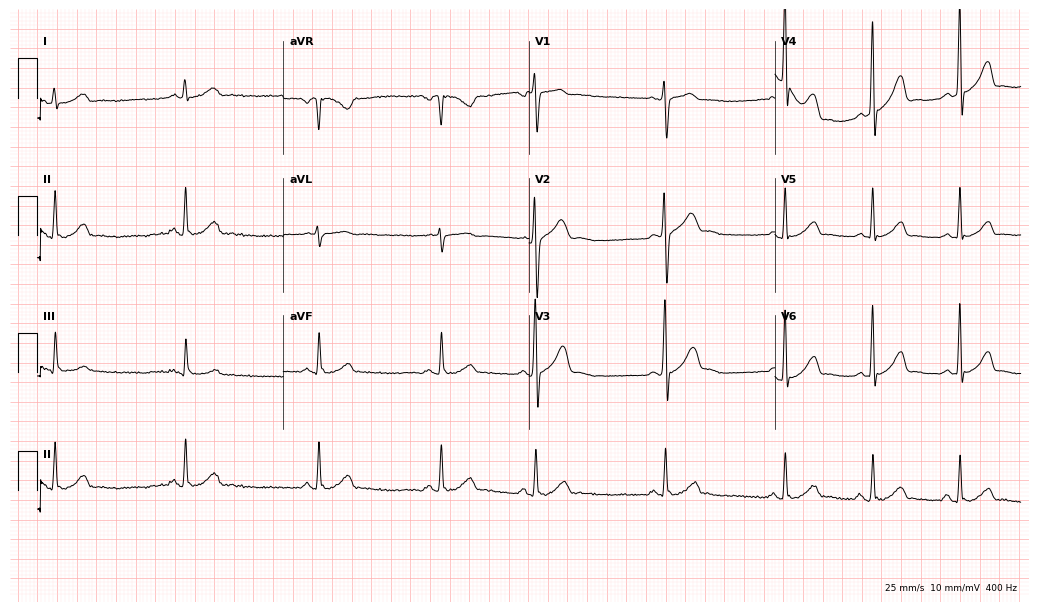
12-lead ECG (10-second recording at 400 Hz) from a 29-year-old male patient. Screened for six findings — first-degree AV block, right bundle branch block, left bundle branch block, sinus bradycardia, atrial fibrillation, sinus tachycardia — none is recorded. Findings outside these six are not listed.